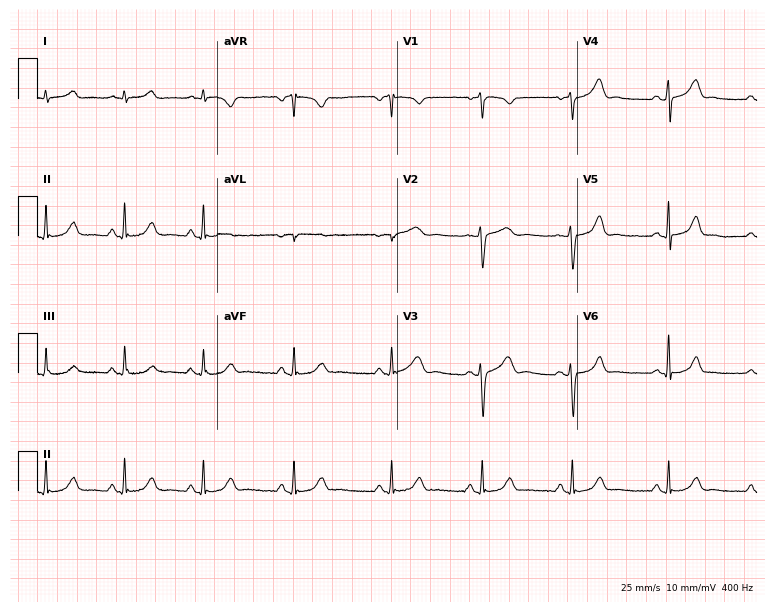
ECG — a 25-year-old female patient. Labelled as a normal ECG.